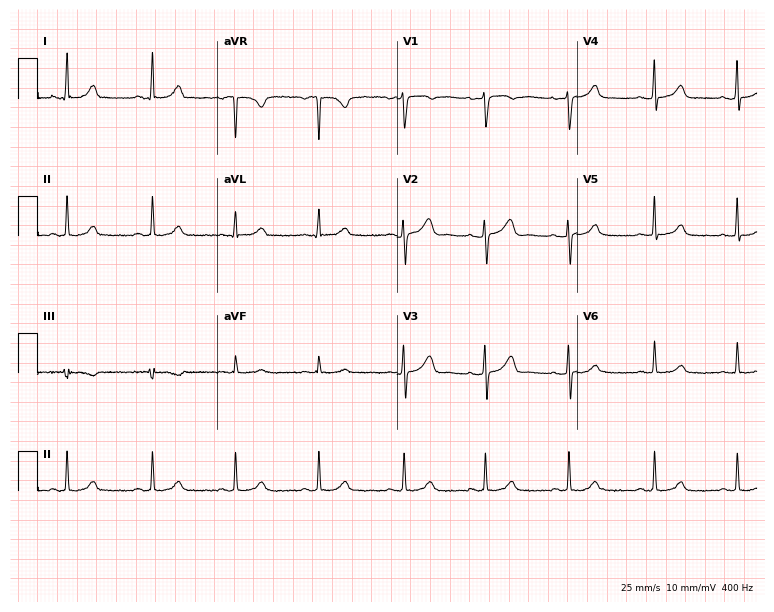
12-lead ECG from a female patient, 26 years old. Recorded interpretation: within normal limits.